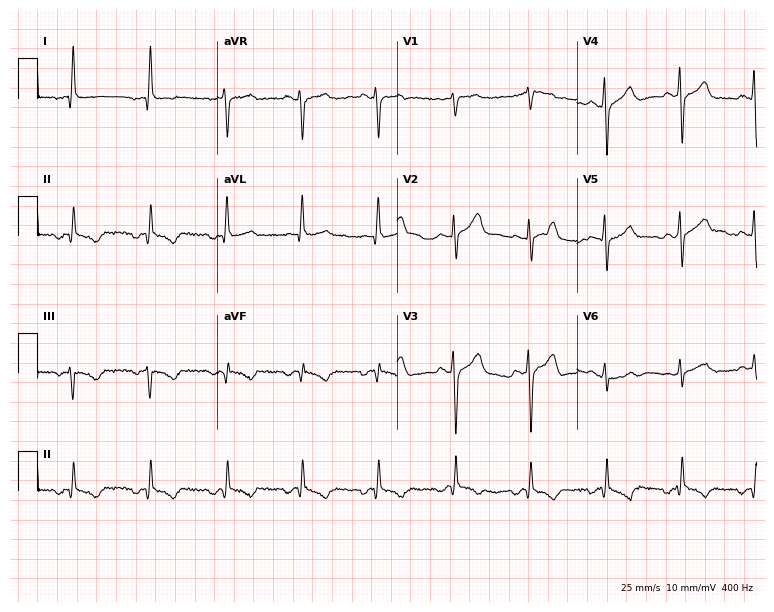
12-lead ECG (7.3-second recording at 400 Hz) from a male, 68 years old. Screened for six findings — first-degree AV block, right bundle branch block, left bundle branch block, sinus bradycardia, atrial fibrillation, sinus tachycardia — none is recorded.